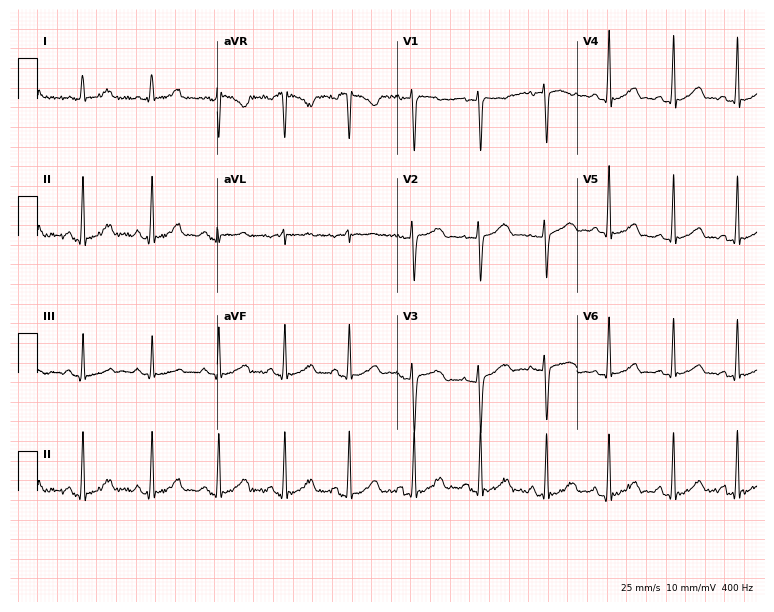
Standard 12-lead ECG recorded from a 20-year-old female. Read as a normal ECG.